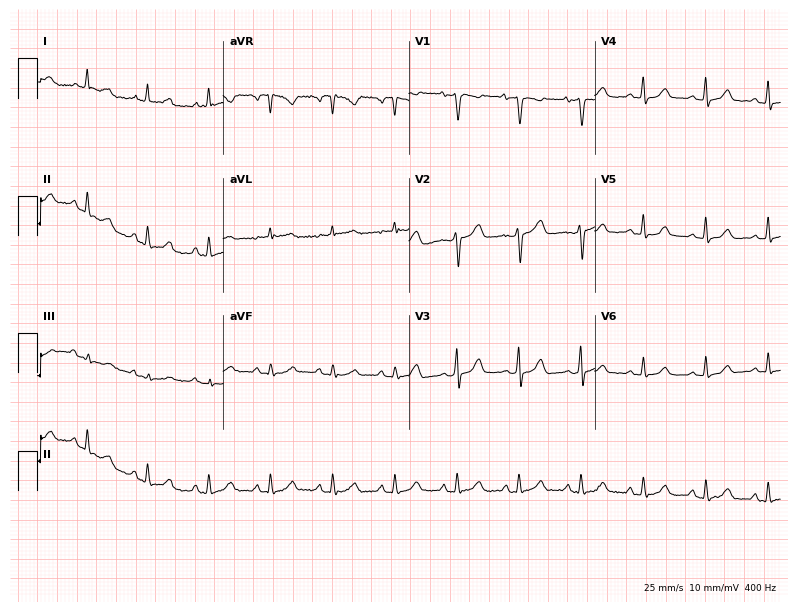
ECG (7.6-second recording at 400 Hz) — a female patient, 41 years old. Screened for six findings — first-degree AV block, right bundle branch block, left bundle branch block, sinus bradycardia, atrial fibrillation, sinus tachycardia — none is recorded. Only these six findings were labelled.